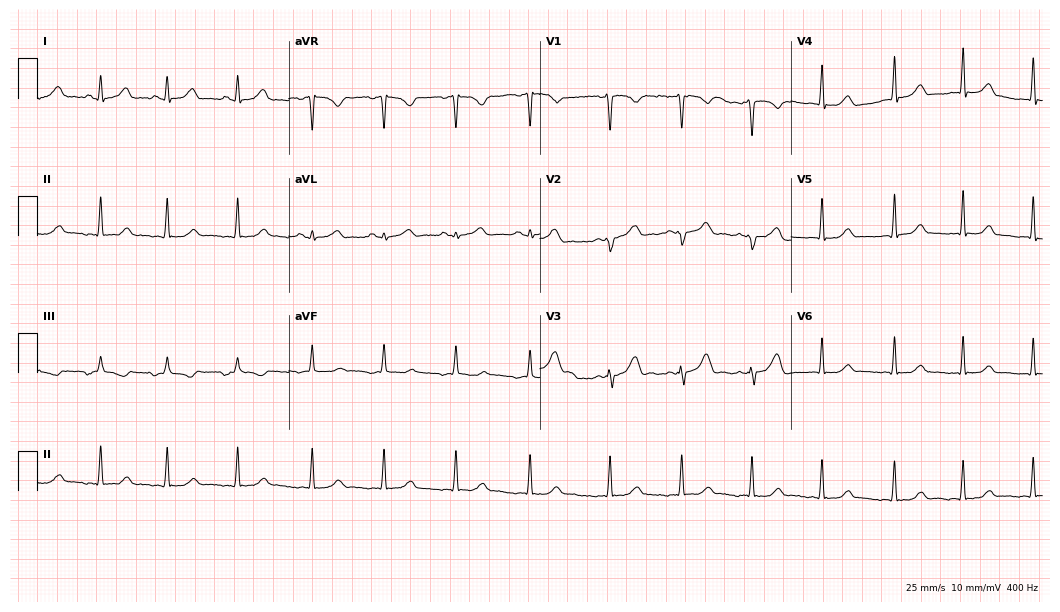
Standard 12-lead ECG recorded from a woman, 26 years old. Read as a normal ECG.